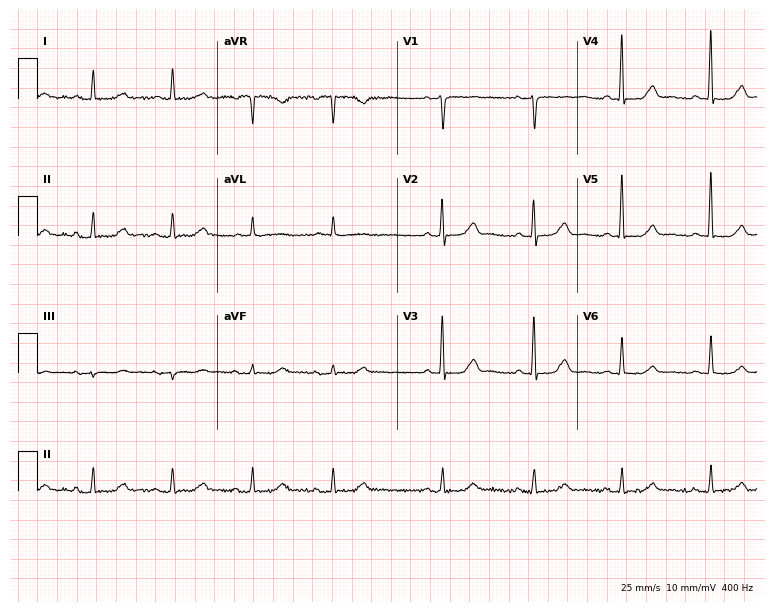
Resting 12-lead electrocardiogram. Patient: a female, 75 years old. None of these six findings is recorded: first-degree AV block, right bundle branch block, left bundle branch block, sinus bradycardia, atrial fibrillation, sinus tachycardia.